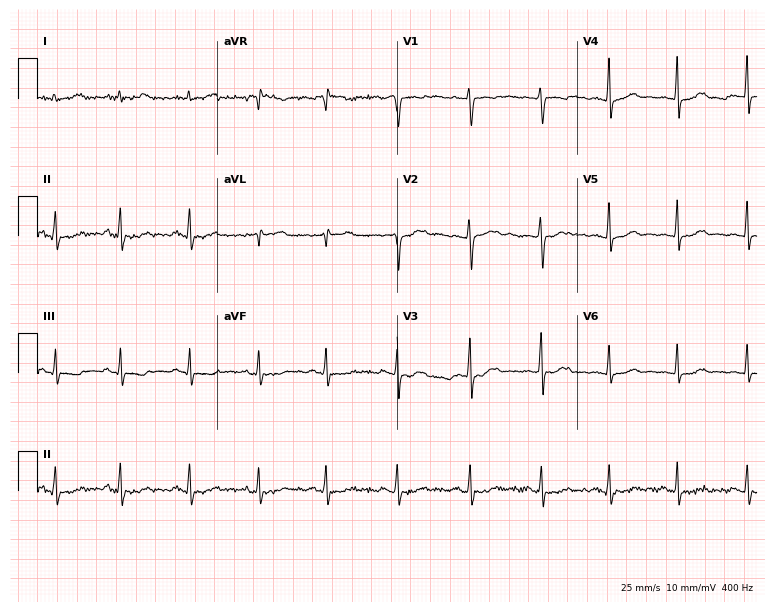
ECG — a 24-year-old female patient. Screened for six findings — first-degree AV block, right bundle branch block (RBBB), left bundle branch block (LBBB), sinus bradycardia, atrial fibrillation (AF), sinus tachycardia — none is recorded. Only these six findings were labelled.